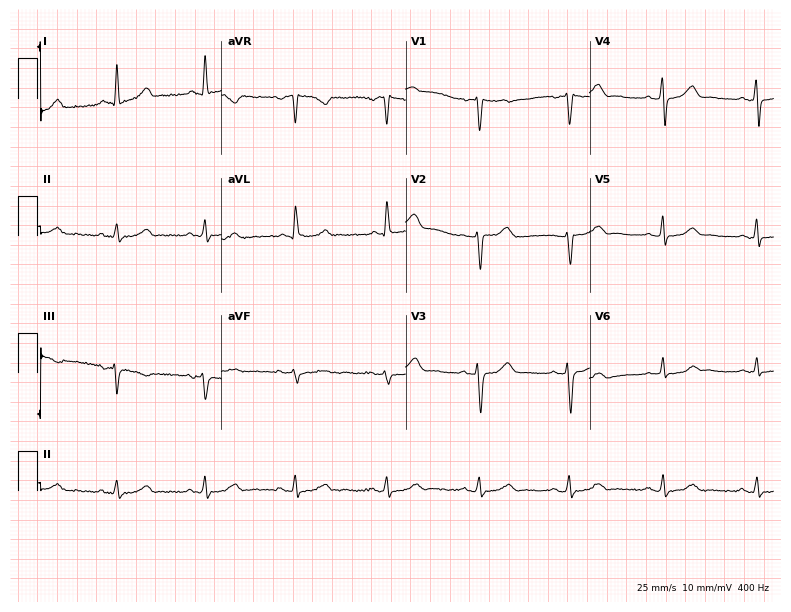
12-lead ECG from a 51-year-old female patient. Recorded interpretation: within normal limits.